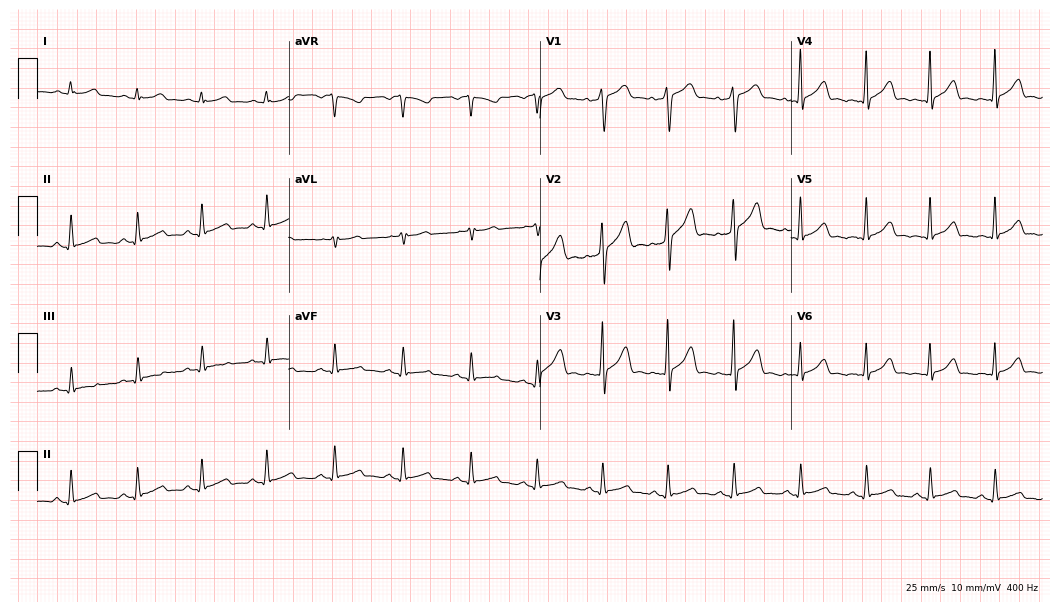
Resting 12-lead electrocardiogram (10.2-second recording at 400 Hz). Patient: a 33-year-old man. Read as a normal ECG.